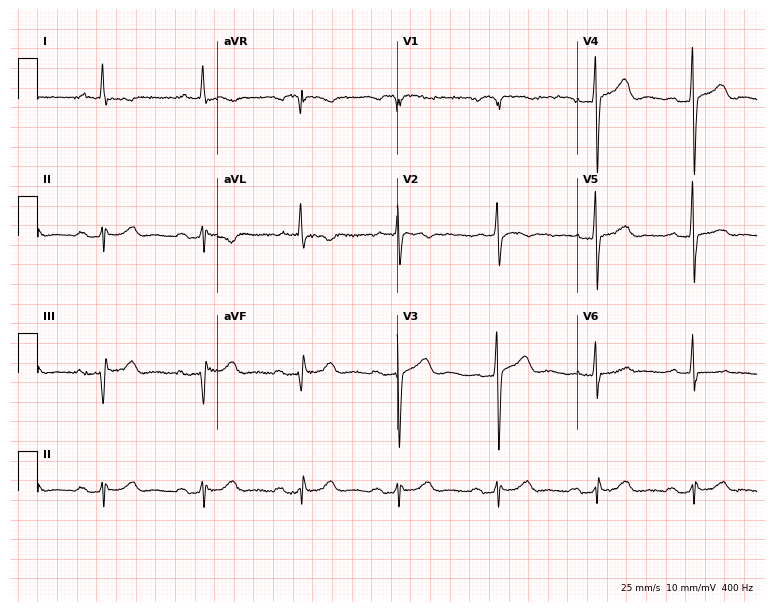
ECG — a male patient, 80 years old. Screened for six findings — first-degree AV block, right bundle branch block, left bundle branch block, sinus bradycardia, atrial fibrillation, sinus tachycardia — none is recorded. Only these six findings were labelled.